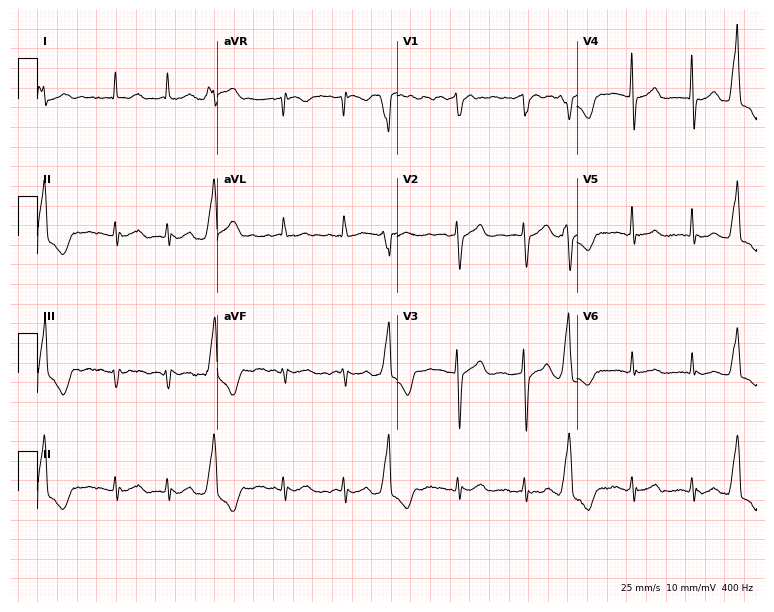
ECG (7.3-second recording at 400 Hz) — a female patient, 72 years old. Findings include atrial fibrillation.